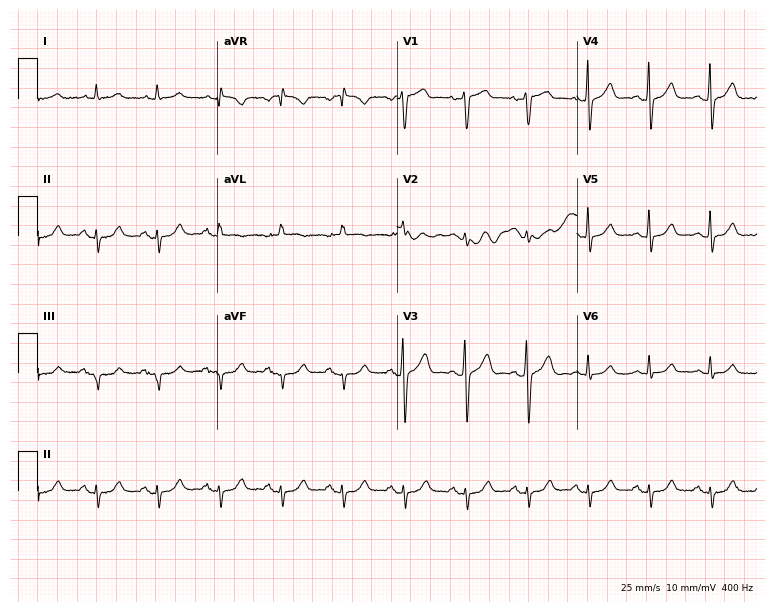
12-lead ECG (7.3-second recording at 400 Hz) from a 77-year-old male. Screened for six findings — first-degree AV block, right bundle branch block (RBBB), left bundle branch block (LBBB), sinus bradycardia, atrial fibrillation (AF), sinus tachycardia — none is recorded.